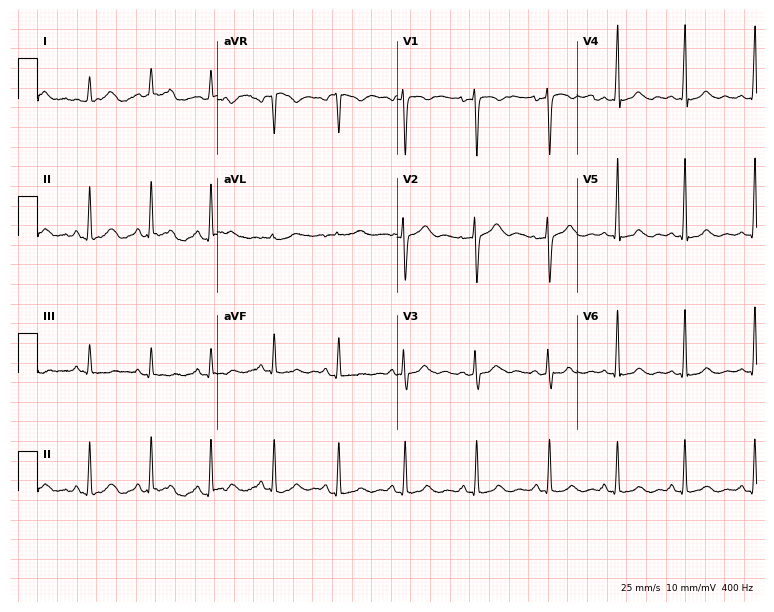
12-lead ECG from a 44-year-old female (7.3-second recording at 400 Hz). Recorded interpretation: within normal limits.